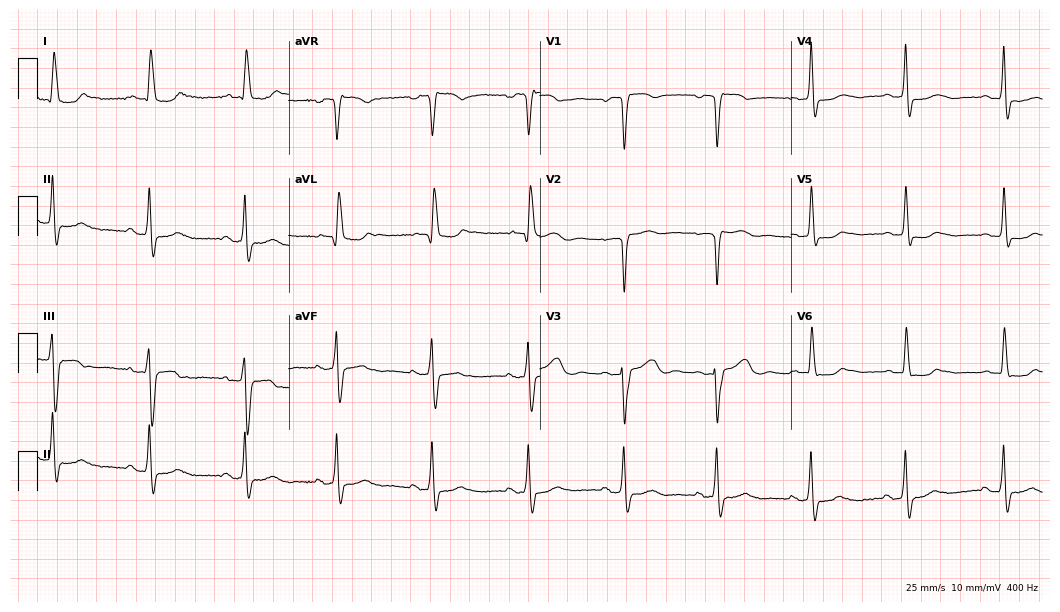
12-lead ECG from a 63-year-old female patient. No first-degree AV block, right bundle branch block (RBBB), left bundle branch block (LBBB), sinus bradycardia, atrial fibrillation (AF) or sinus tachycardia recorded for this tracing.